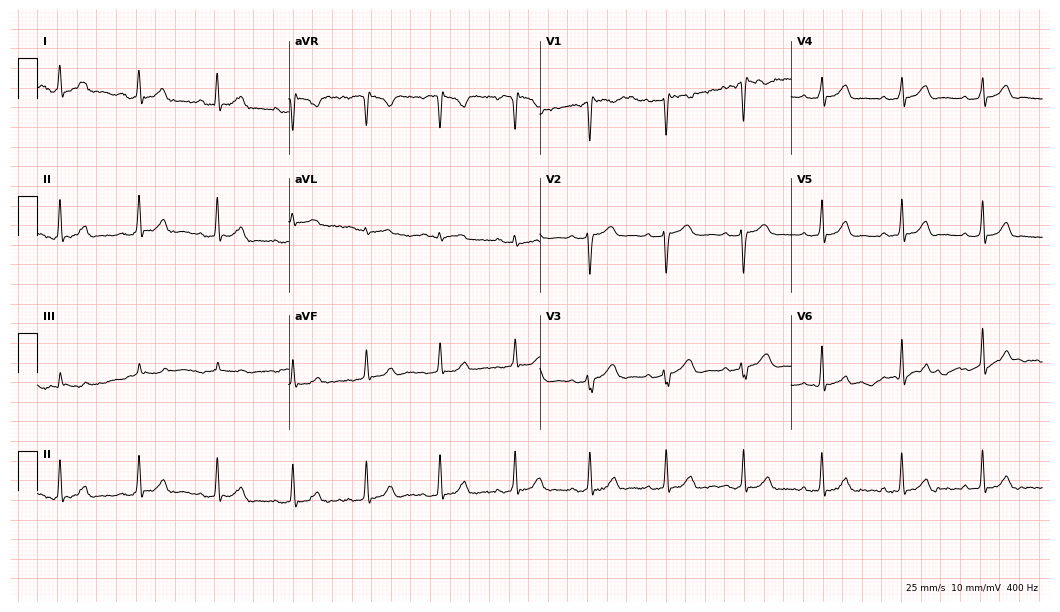
12-lead ECG from a female patient, 39 years old (10.2-second recording at 400 Hz). Recorded interpretation: within normal limits.